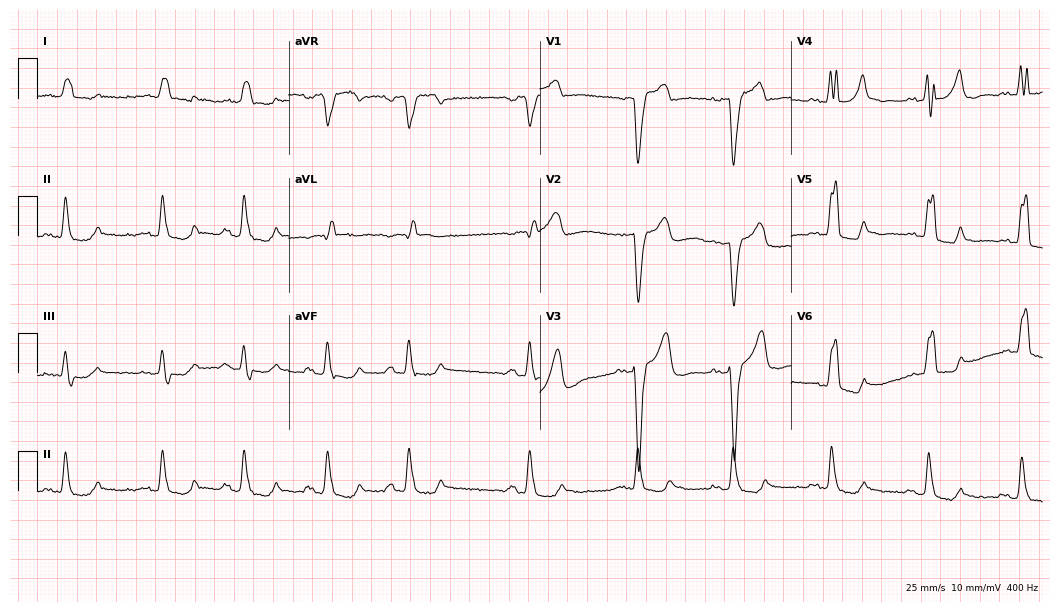
12-lead ECG (10.2-second recording at 400 Hz) from a male, 80 years old. Findings include left bundle branch block.